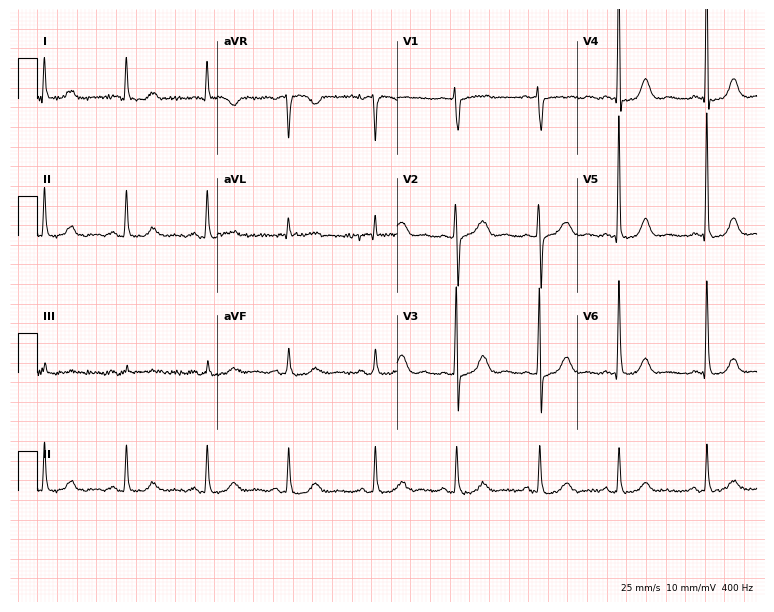
Resting 12-lead electrocardiogram. Patient: a 69-year-old female. None of these six findings is recorded: first-degree AV block, right bundle branch block (RBBB), left bundle branch block (LBBB), sinus bradycardia, atrial fibrillation (AF), sinus tachycardia.